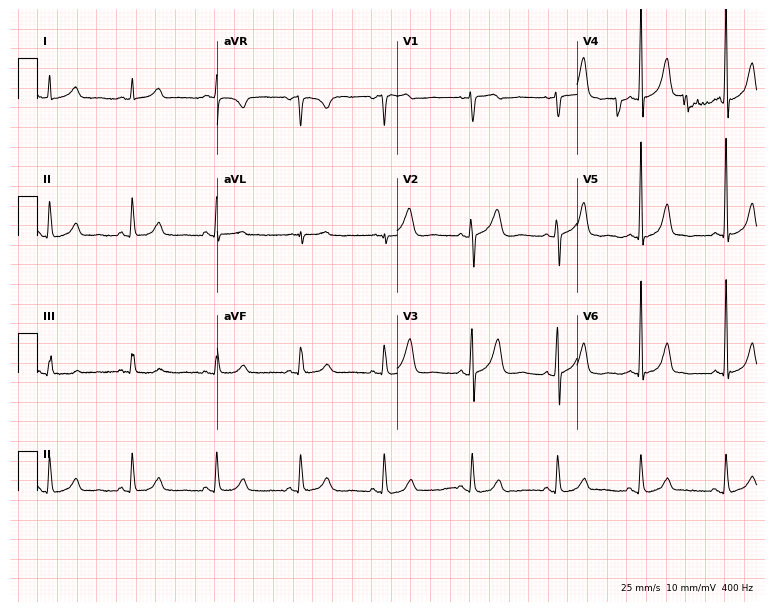
Resting 12-lead electrocardiogram (7.3-second recording at 400 Hz). Patient: a 42-year-old female. Read as a normal ECG.